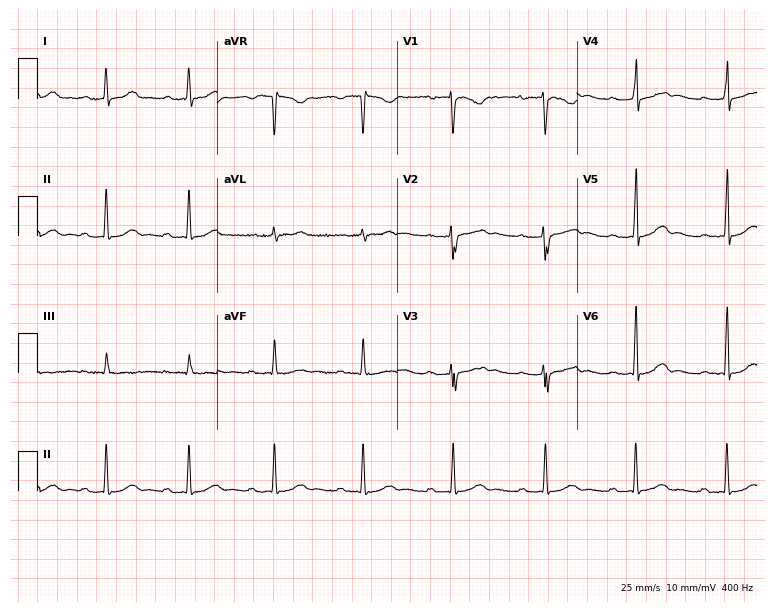
12-lead ECG from a 45-year-old female. Findings include first-degree AV block.